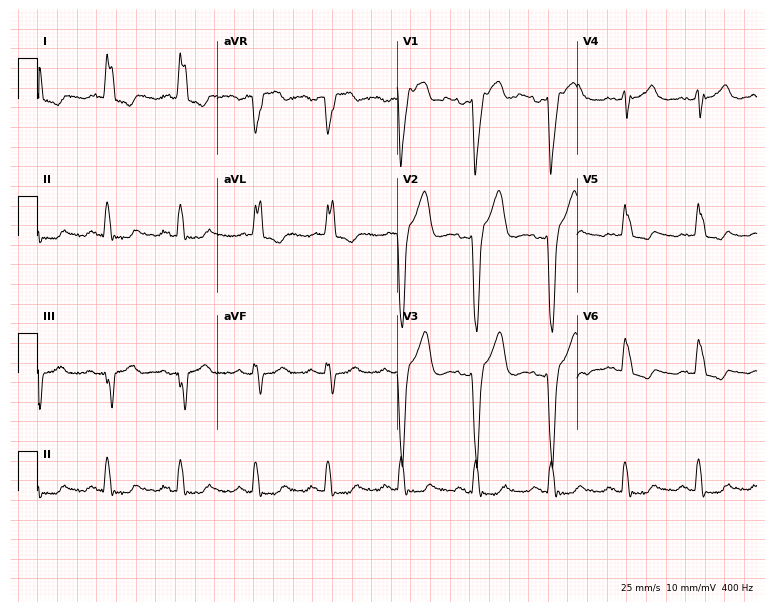
Electrocardiogram, a woman, 82 years old. Interpretation includes left bundle branch block (LBBB).